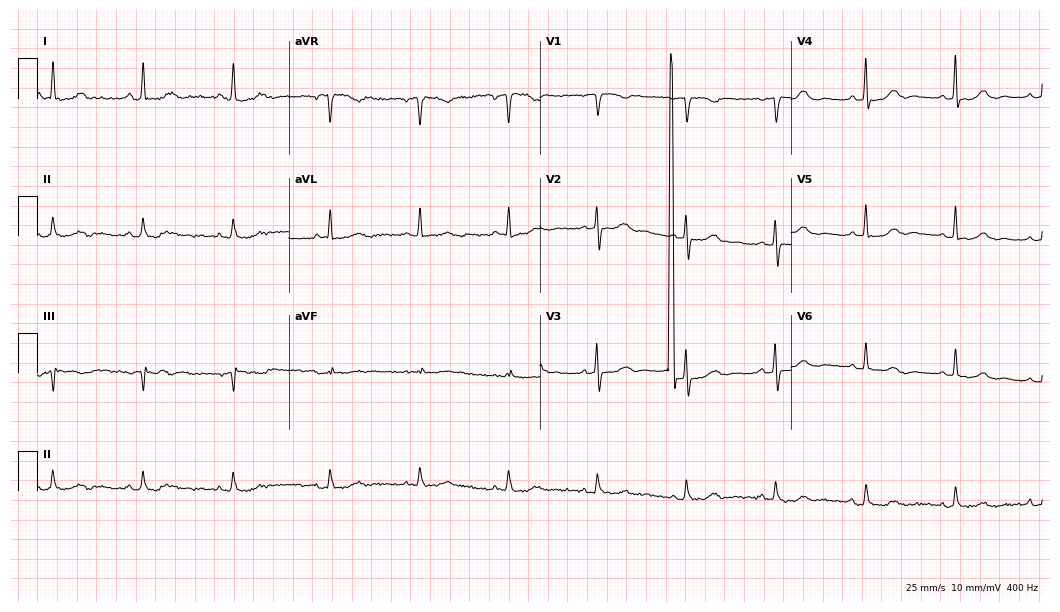
12-lead ECG from a female patient, 69 years old (10.2-second recording at 400 Hz). No first-degree AV block, right bundle branch block, left bundle branch block, sinus bradycardia, atrial fibrillation or sinus tachycardia recorded for this tracing. Only these six findings were labelled.